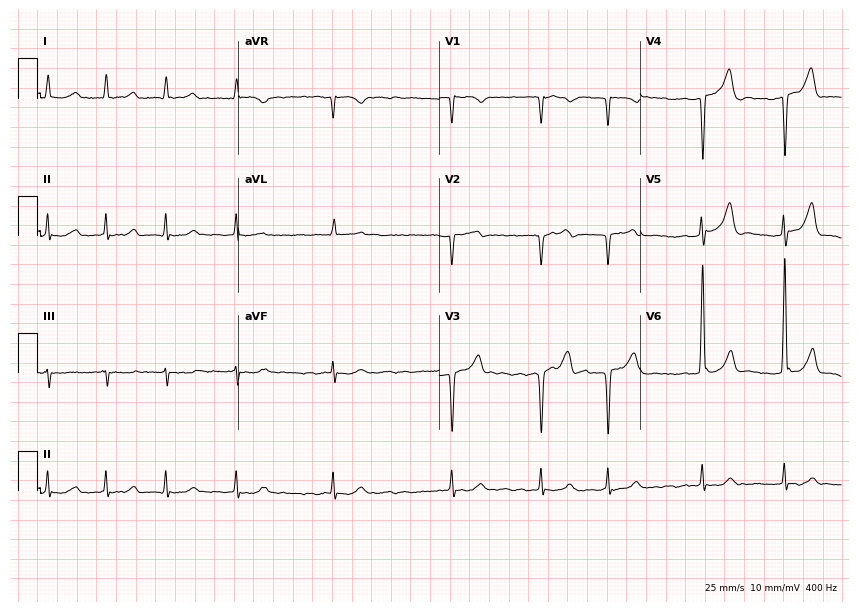
12-lead ECG from a 78-year-old male patient. Findings include atrial fibrillation.